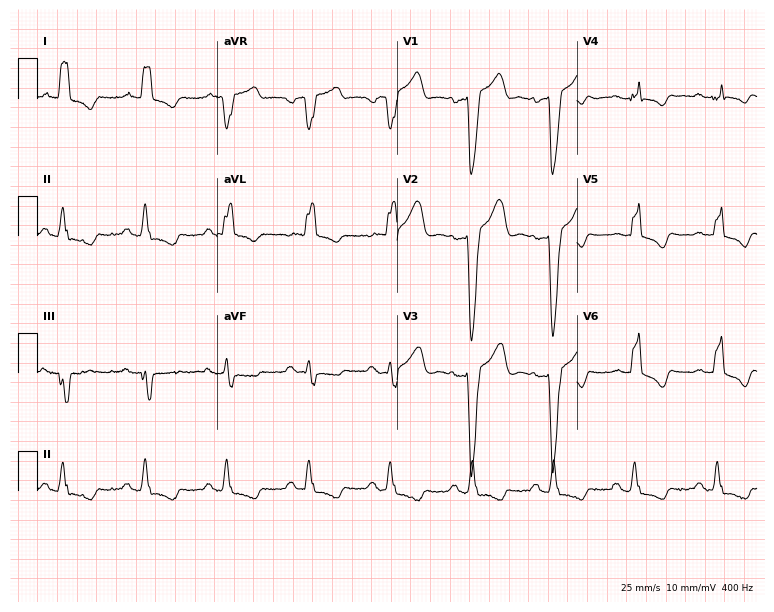
12-lead ECG from a female, 61 years old. Findings include left bundle branch block.